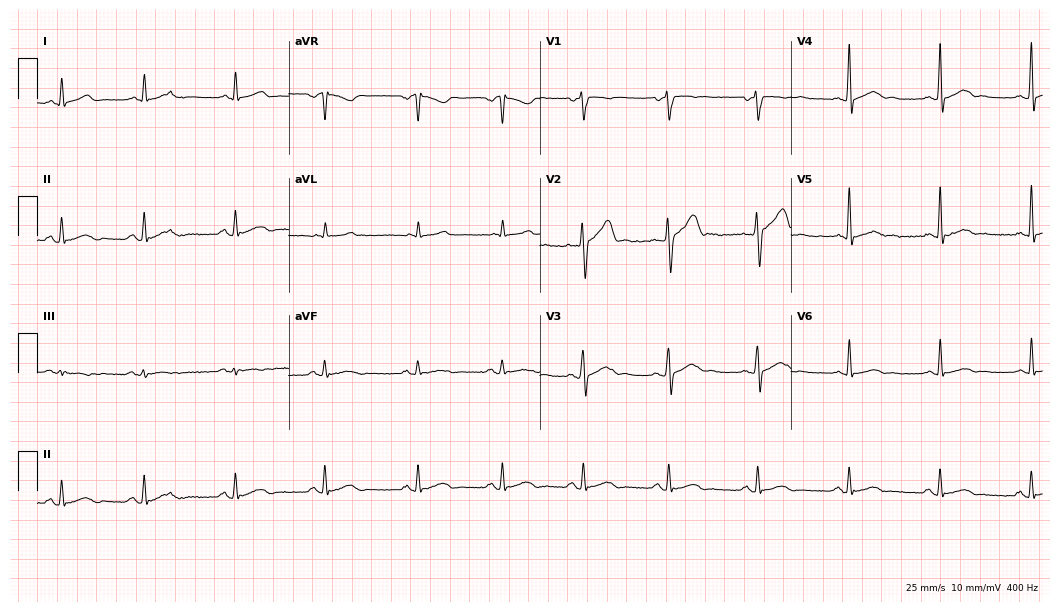
Resting 12-lead electrocardiogram. Patient: a male, 44 years old. Read as a normal ECG.